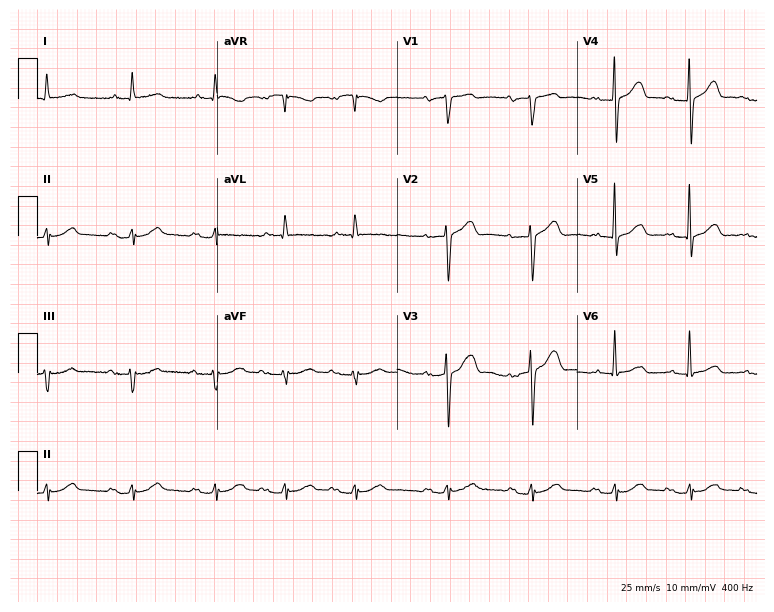
12-lead ECG from a male, 82 years old. Screened for six findings — first-degree AV block, right bundle branch block, left bundle branch block, sinus bradycardia, atrial fibrillation, sinus tachycardia — none is recorded. Only these six findings were labelled.